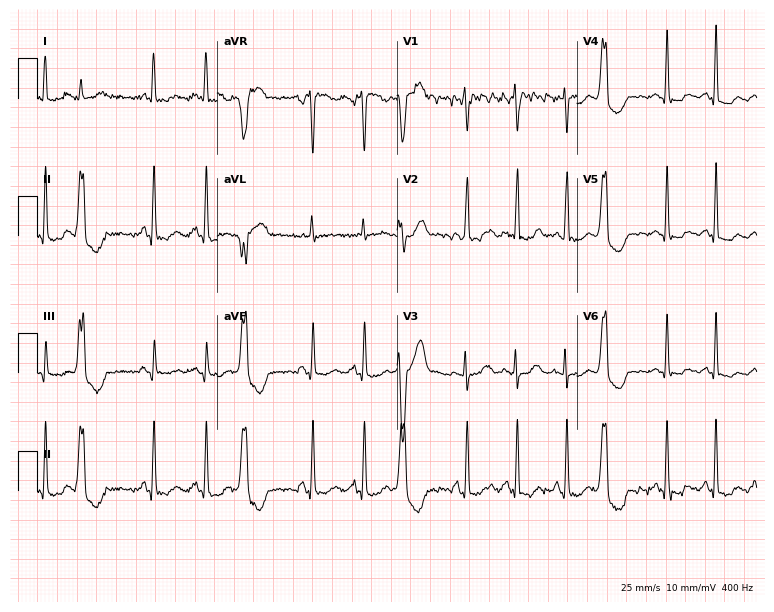
12-lead ECG from a female, 47 years old. Findings include sinus tachycardia (a sinus rate of 100 beats per minute or more).